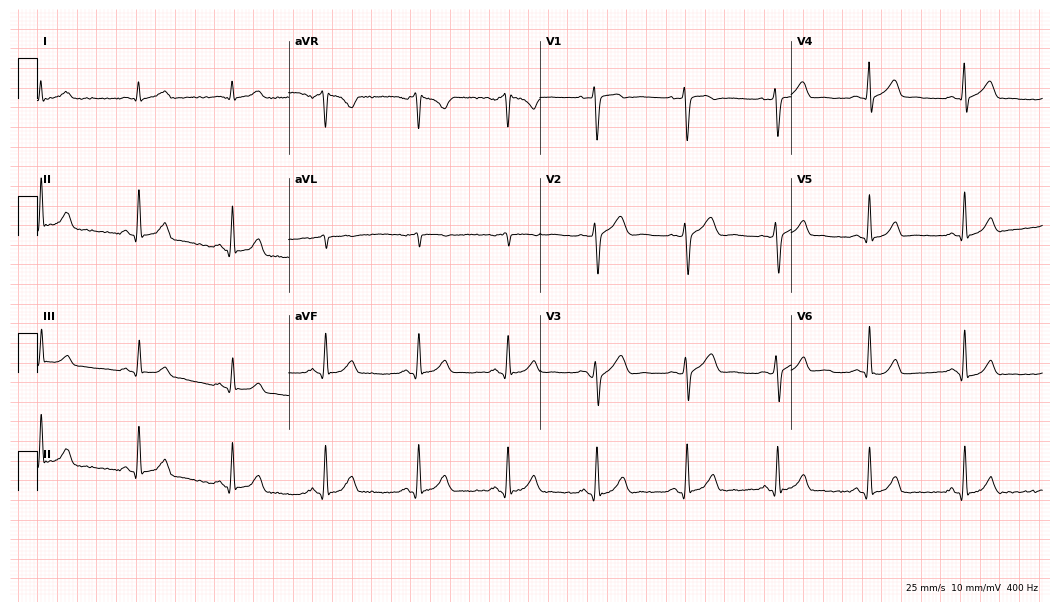
Resting 12-lead electrocardiogram (10.2-second recording at 400 Hz). Patient: a 36-year-old male. Read as a normal ECG.